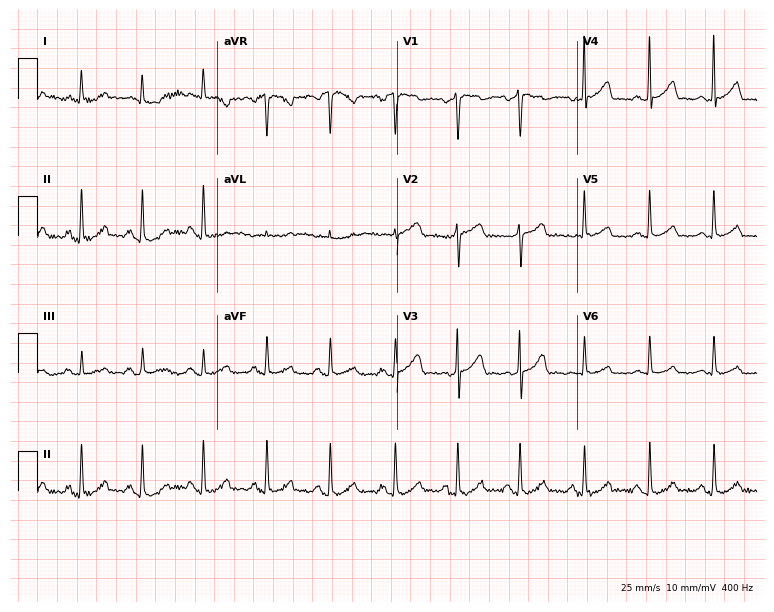
Resting 12-lead electrocardiogram. Patient: a 52-year-old male. Read as a normal ECG.